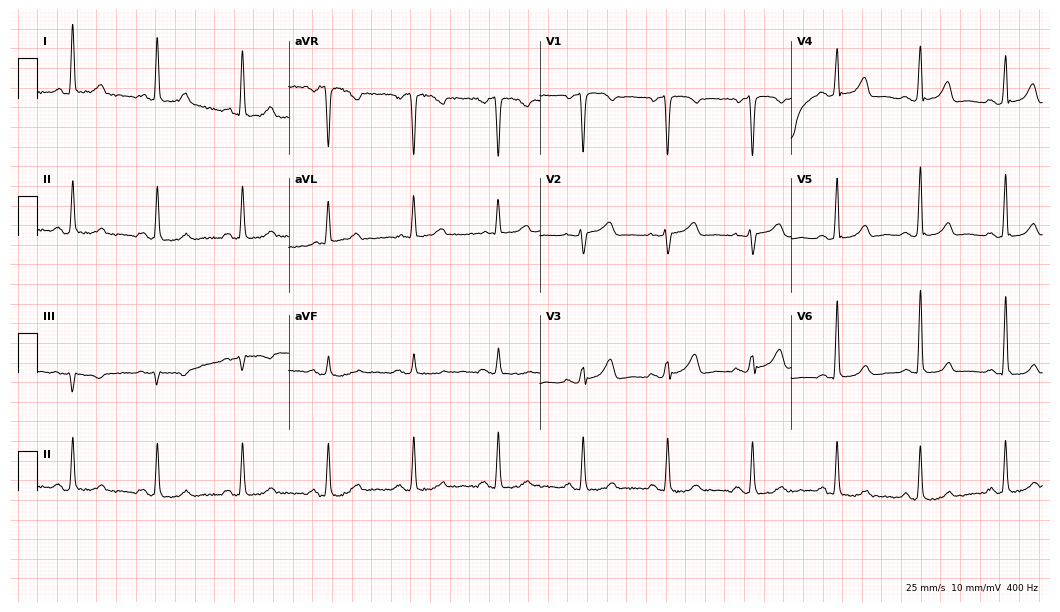
Resting 12-lead electrocardiogram (10.2-second recording at 400 Hz). Patient: a 53-year-old female. Read as a normal ECG.